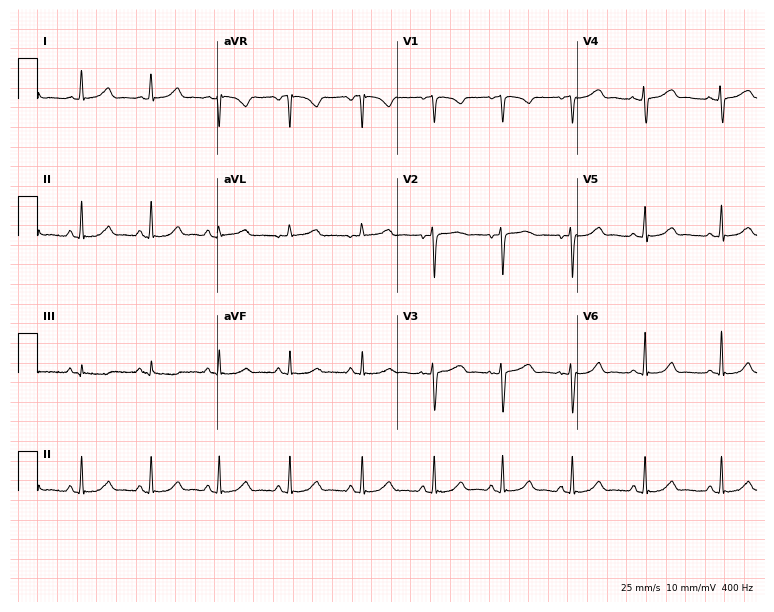
Standard 12-lead ECG recorded from a female patient, 21 years old (7.3-second recording at 400 Hz). Read as a normal ECG.